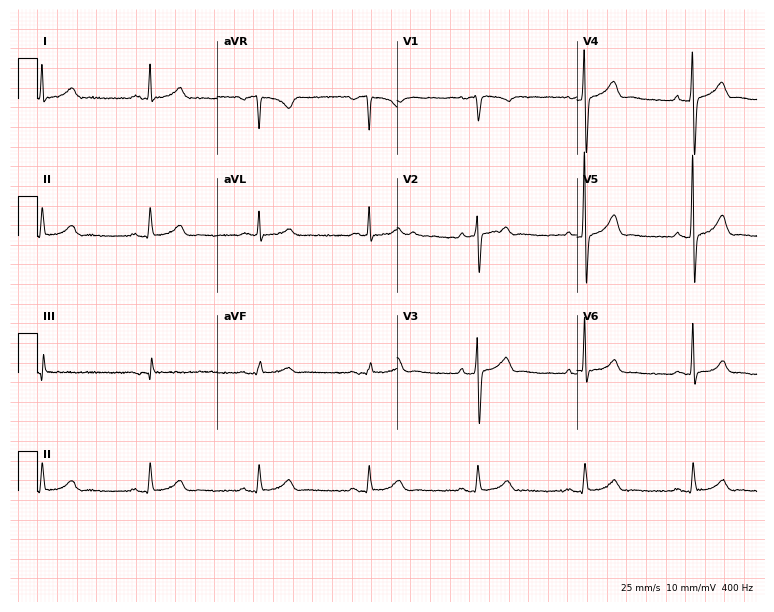
Resting 12-lead electrocardiogram (7.3-second recording at 400 Hz). Patient: a man, 64 years old. Read as a normal ECG.